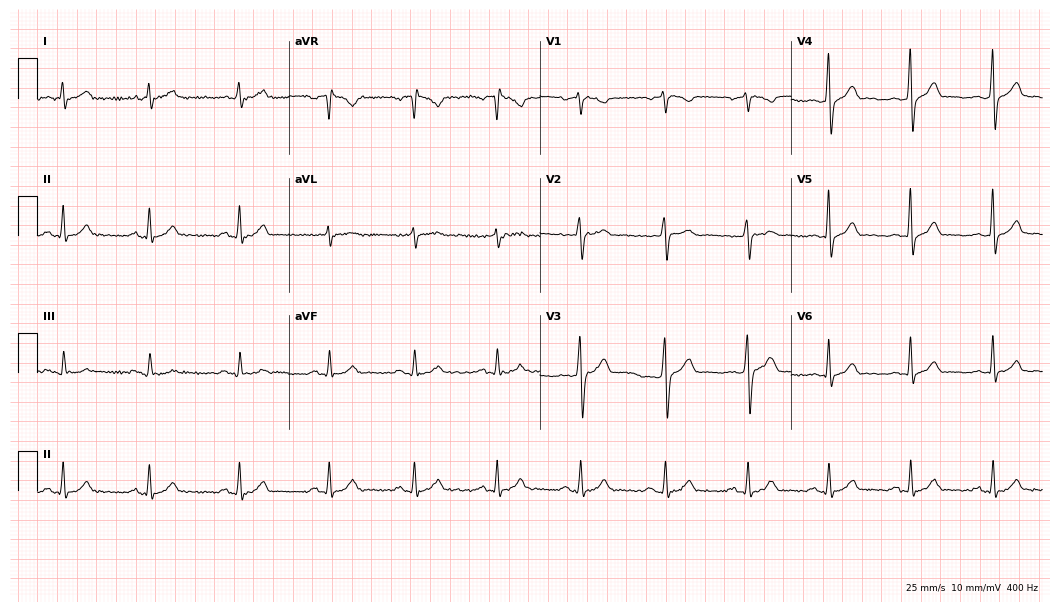
12-lead ECG (10.2-second recording at 400 Hz) from a male, 41 years old. Screened for six findings — first-degree AV block, right bundle branch block (RBBB), left bundle branch block (LBBB), sinus bradycardia, atrial fibrillation (AF), sinus tachycardia — none is recorded. Findings outside these six are not listed.